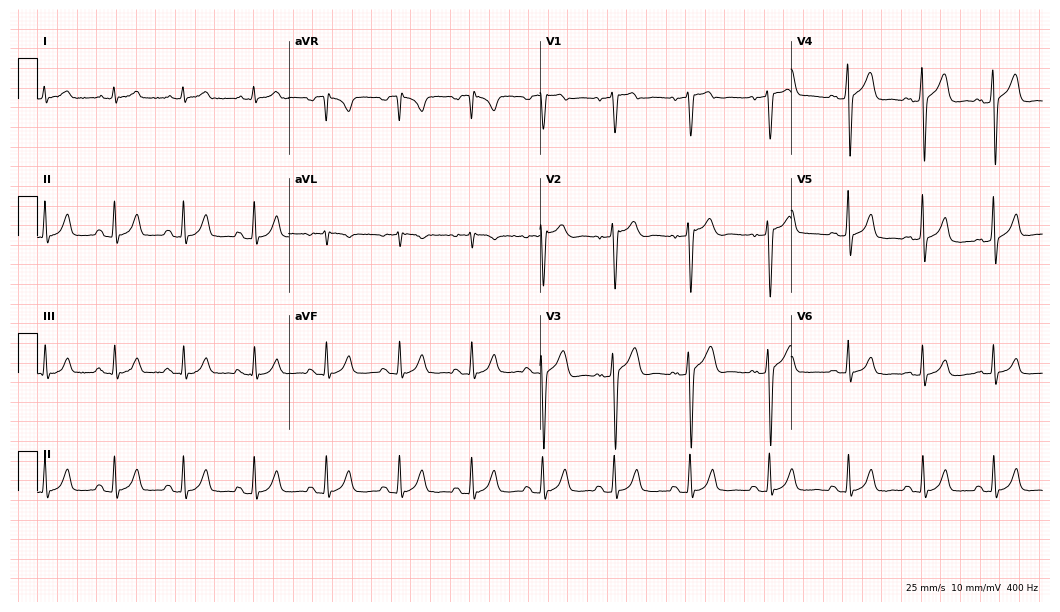
12-lead ECG from a 38-year-old female. Recorded interpretation: within normal limits.